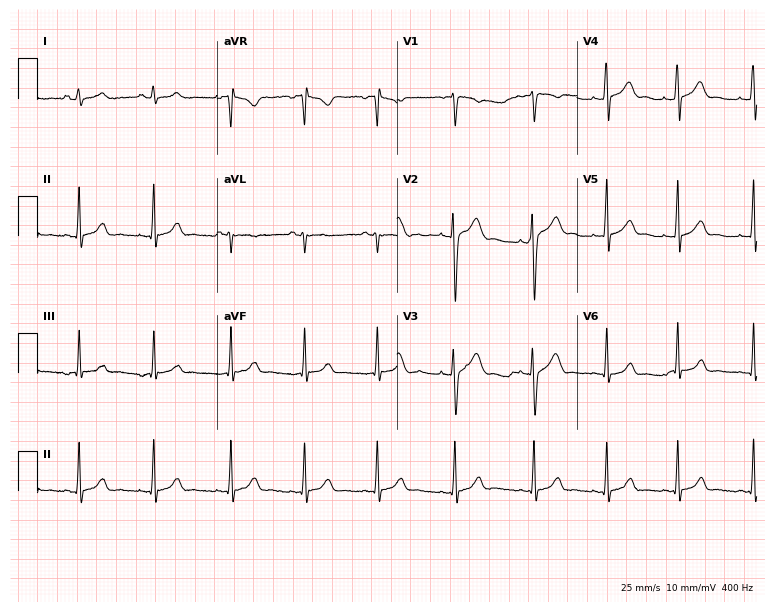
Standard 12-lead ECG recorded from a female patient, 20 years old. Read as a normal ECG.